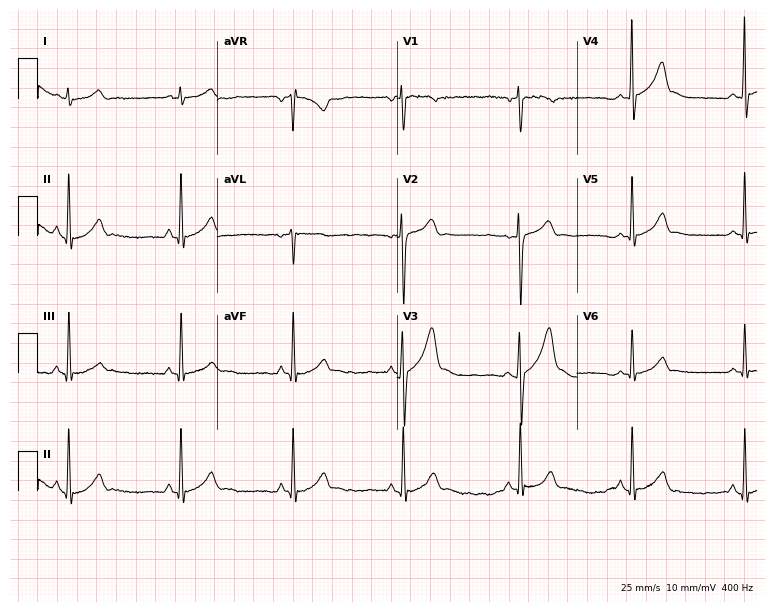
12-lead ECG from a male patient, 17 years old. No first-degree AV block, right bundle branch block, left bundle branch block, sinus bradycardia, atrial fibrillation or sinus tachycardia recorded for this tracing. Only these six findings were labelled.